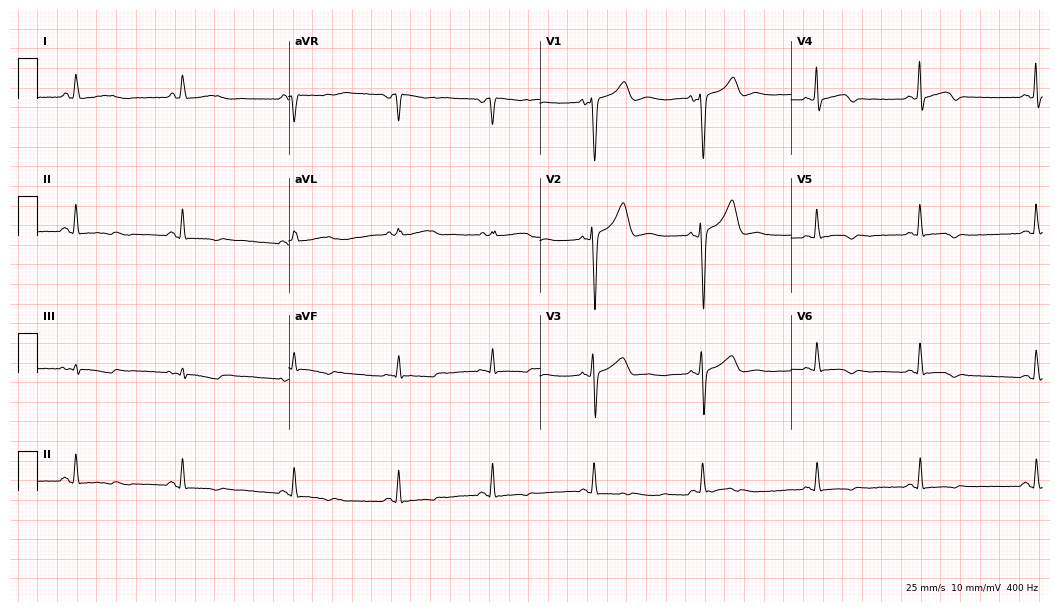
ECG — a 45-year-old female. Screened for six findings — first-degree AV block, right bundle branch block, left bundle branch block, sinus bradycardia, atrial fibrillation, sinus tachycardia — none is recorded. Only these six findings were labelled.